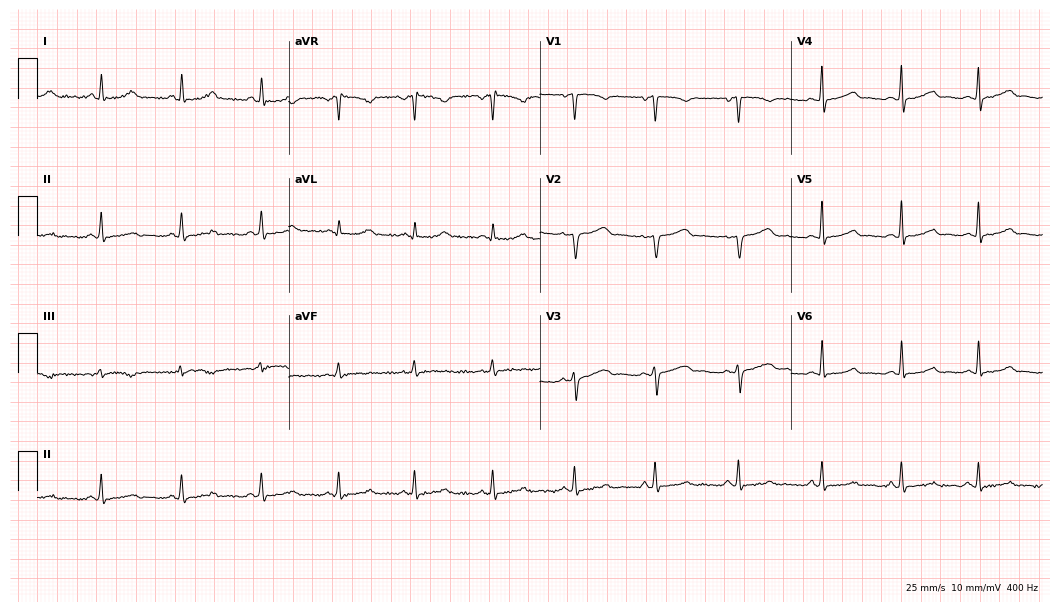
12-lead ECG from a female patient, 39 years old. Recorded interpretation: within normal limits.